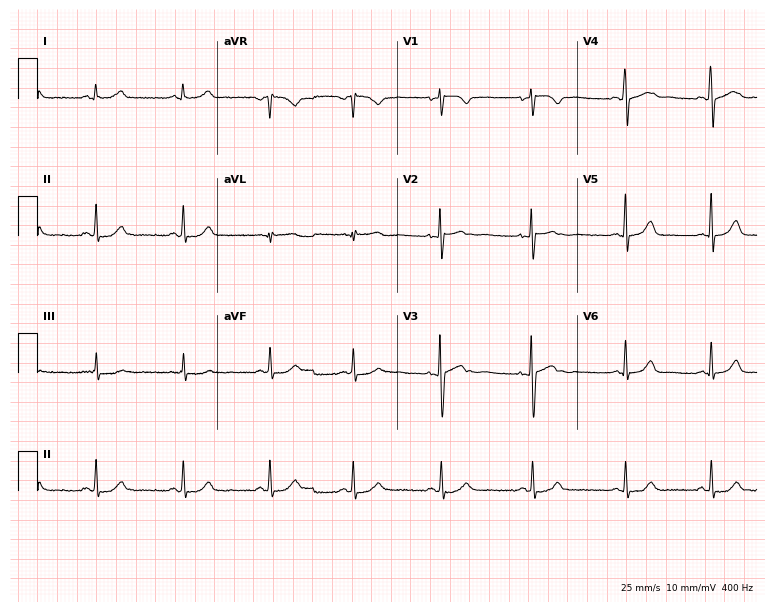
12-lead ECG from a 30-year-old woman. No first-degree AV block, right bundle branch block, left bundle branch block, sinus bradycardia, atrial fibrillation or sinus tachycardia recorded for this tracing.